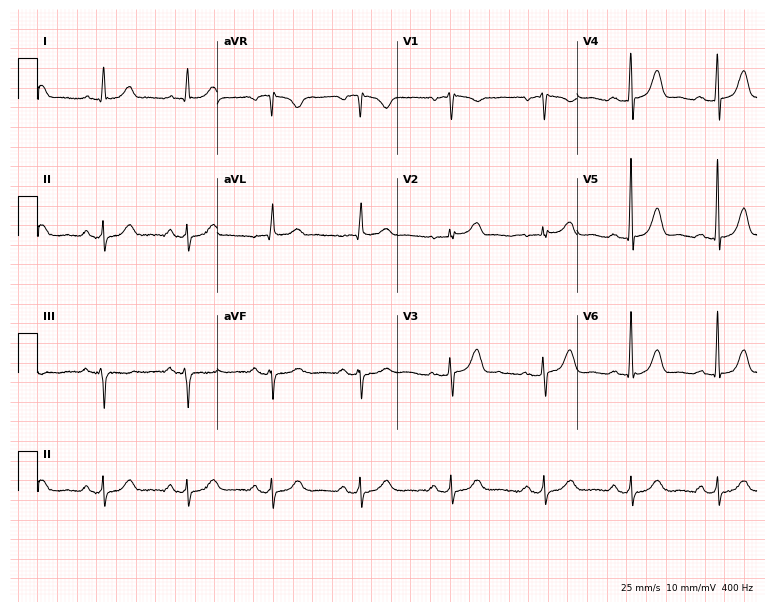
Standard 12-lead ECG recorded from a female, 63 years old (7.3-second recording at 400 Hz). None of these six findings is recorded: first-degree AV block, right bundle branch block (RBBB), left bundle branch block (LBBB), sinus bradycardia, atrial fibrillation (AF), sinus tachycardia.